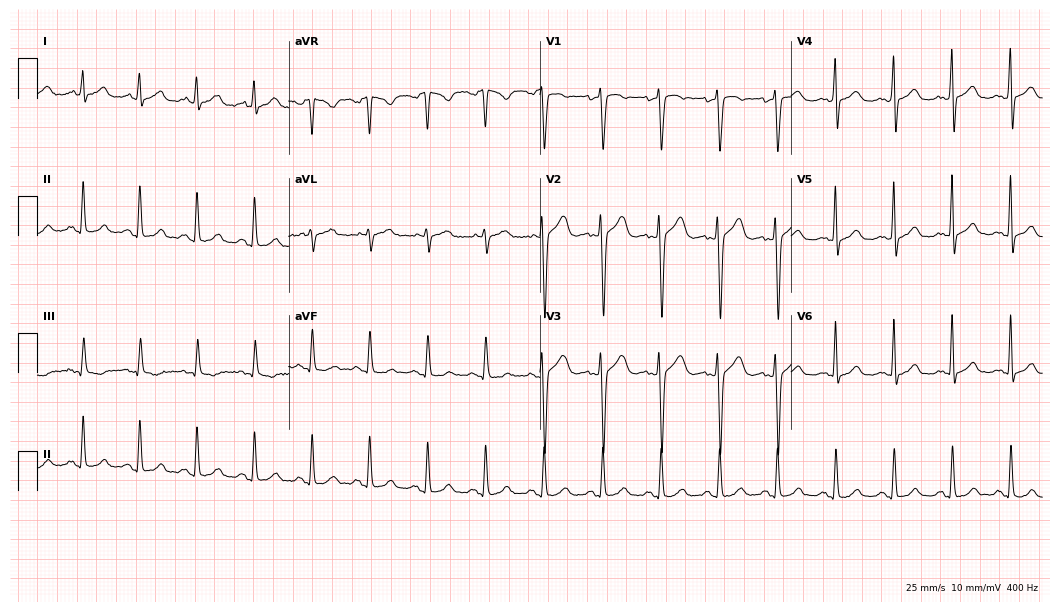
Electrocardiogram, a female, 34 years old. Overall reading on record: normal ECG.